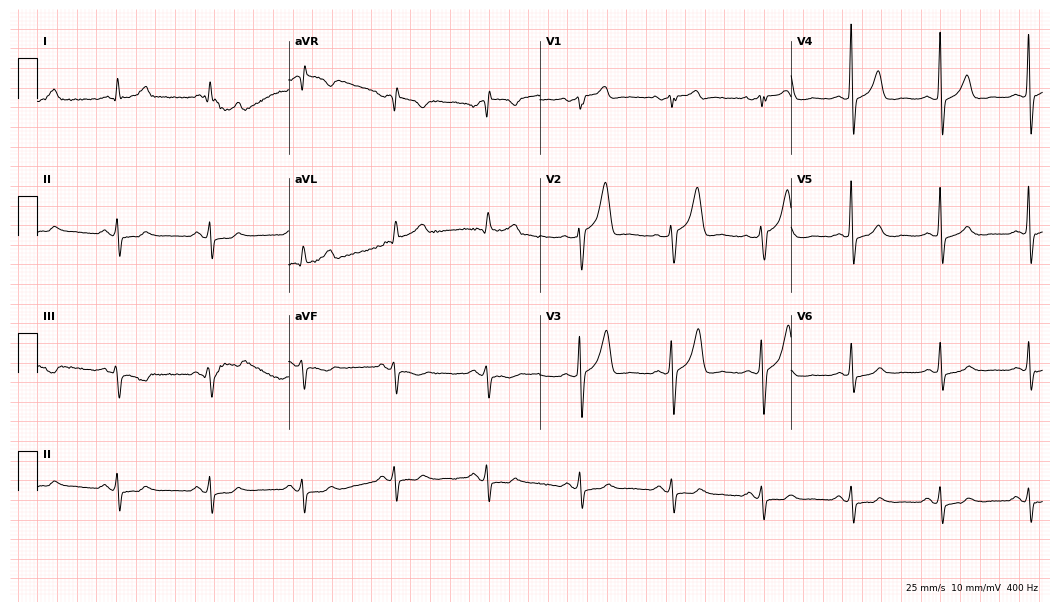
12-lead ECG from a male, 58 years old (10.2-second recording at 400 Hz). No first-degree AV block, right bundle branch block, left bundle branch block, sinus bradycardia, atrial fibrillation or sinus tachycardia recorded for this tracing. Only these six findings were labelled.